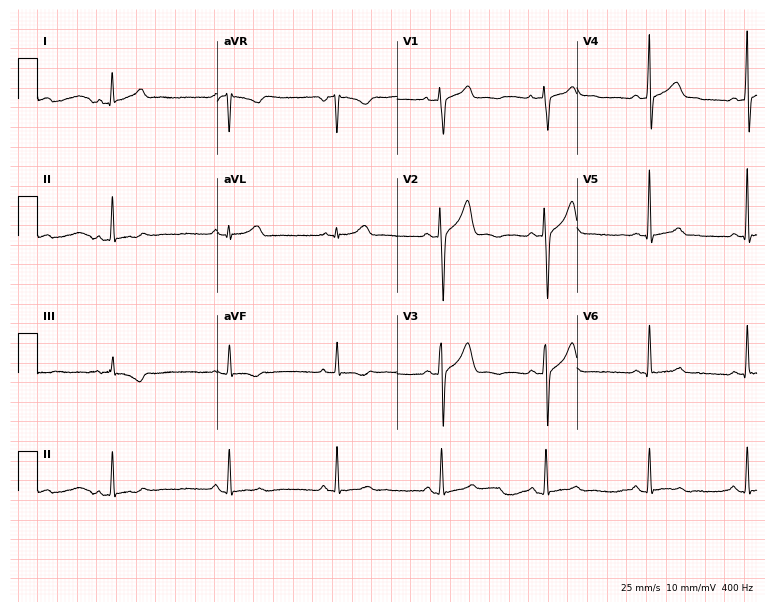
Electrocardiogram, a 32-year-old male. Overall reading on record: normal ECG.